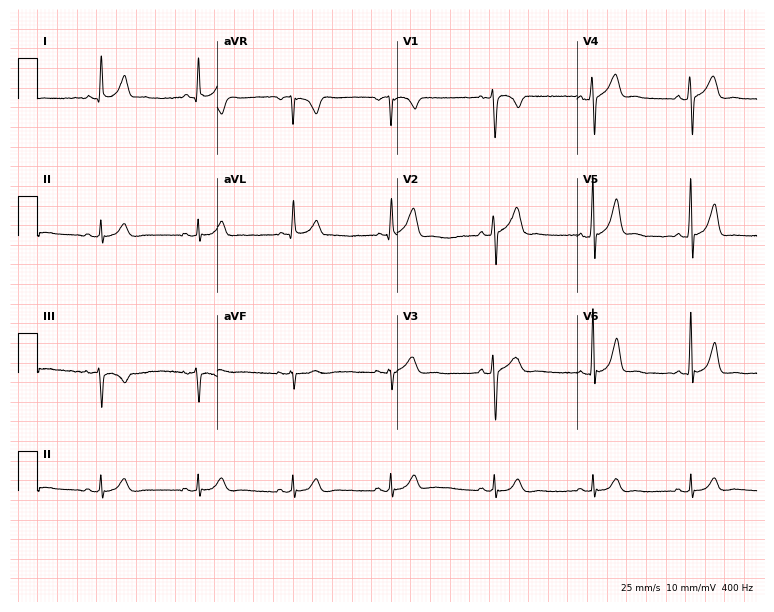
Resting 12-lead electrocardiogram (7.3-second recording at 400 Hz). Patient: a 63-year-old male. Read as a normal ECG.